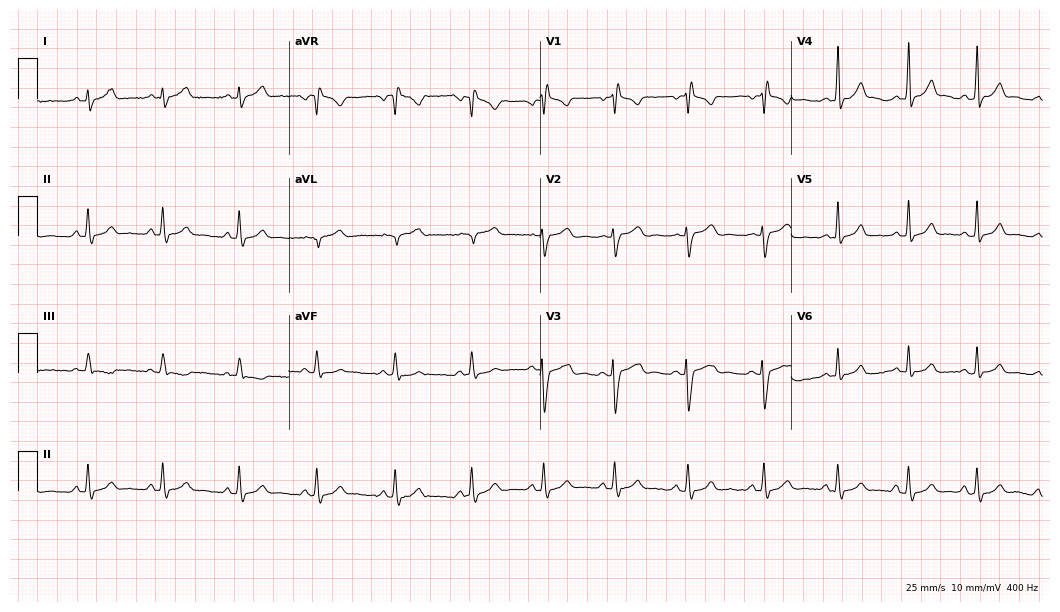
ECG (10.2-second recording at 400 Hz) — a 19-year-old female. Screened for six findings — first-degree AV block, right bundle branch block (RBBB), left bundle branch block (LBBB), sinus bradycardia, atrial fibrillation (AF), sinus tachycardia — none is recorded.